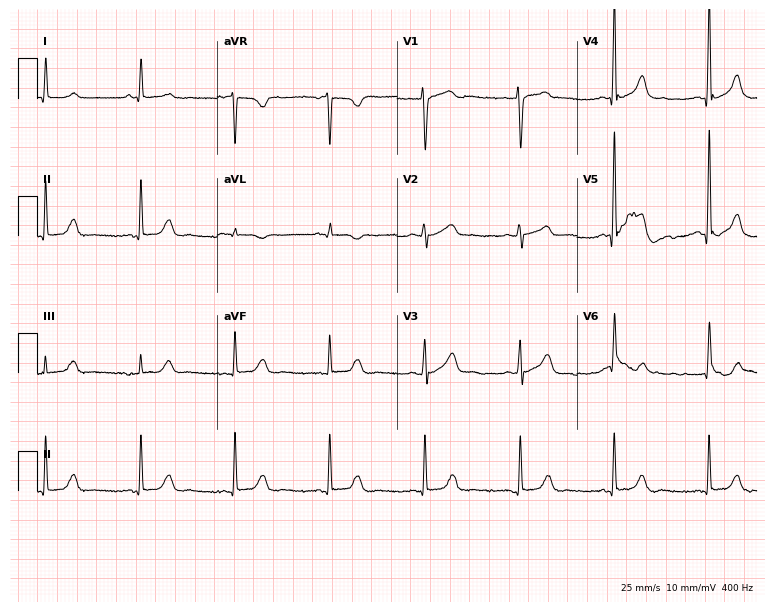
12-lead ECG from a man, 78 years old. No first-degree AV block, right bundle branch block (RBBB), left bundle branch block (LBBB), sinus bradycardia, atrial fibrillation (AF) or sinus tachycardia recorded for this tracing.